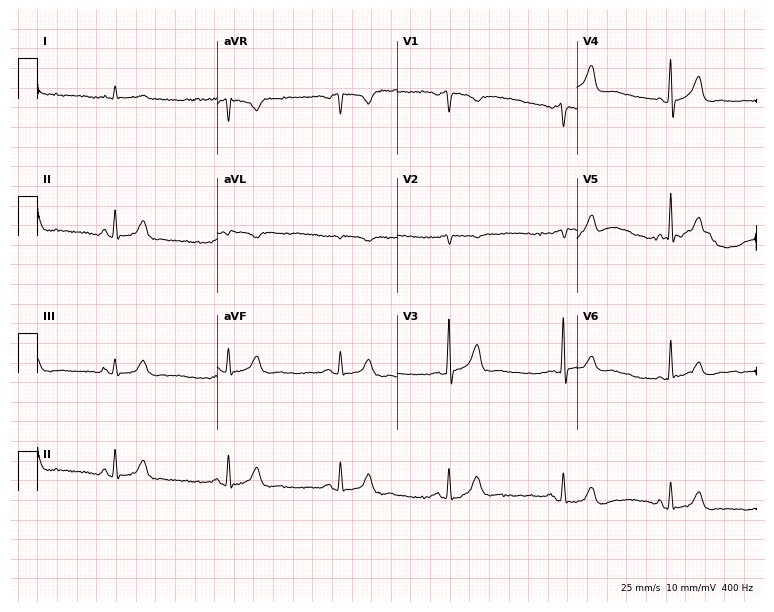
12-lead ECG from a 77-year-old male (7.3-second recording at 400 Hz). No first-degree AV block, right bundle branch block, left bundle branch block, sinus bradycardia, atrial fibrillation or sinus tachycardia recorded for this tracing.